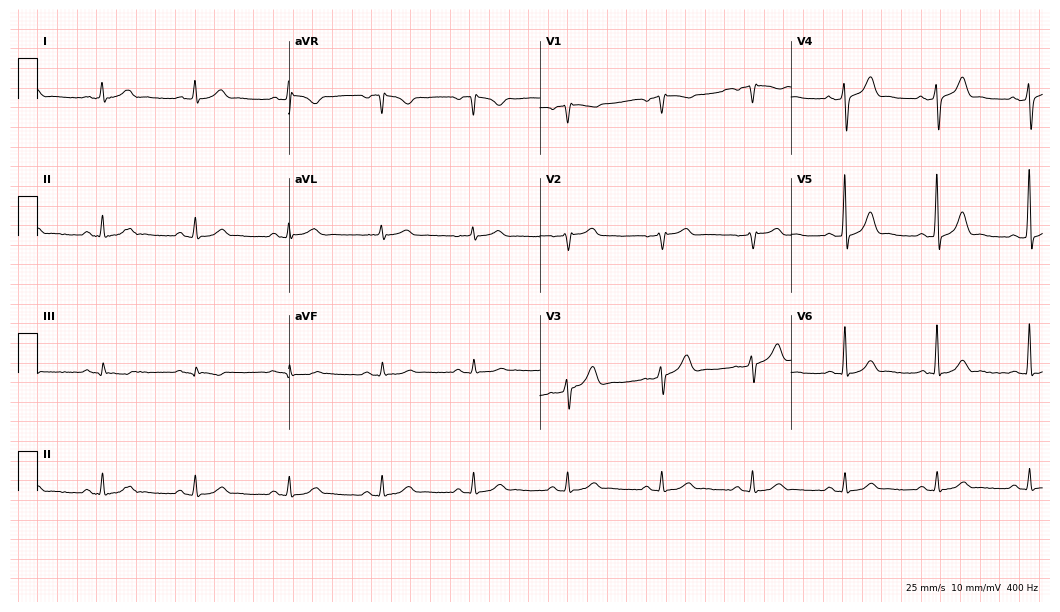
12-lead ECG from a 66-year-old man. Recorded interpretation: within normal limits.